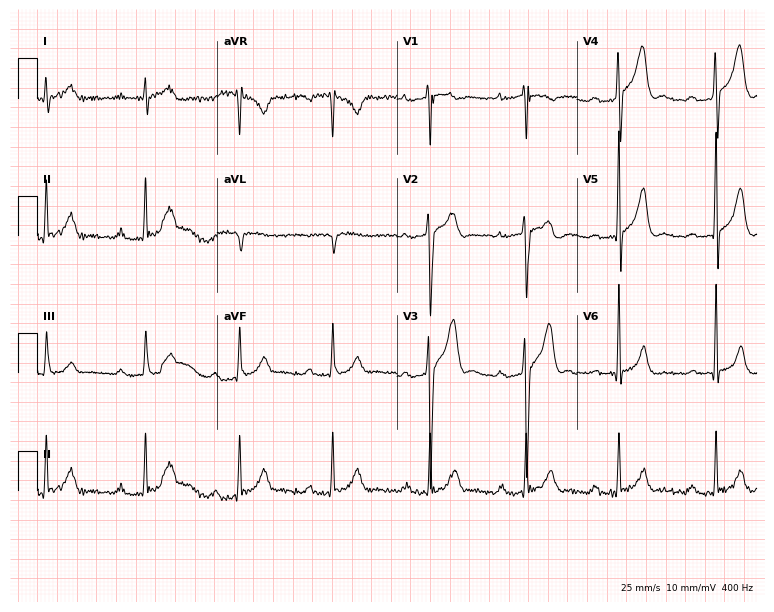
Standard 12-lead ECG recorded from a male, 45 years old. The tracing shows first-degree AV block.